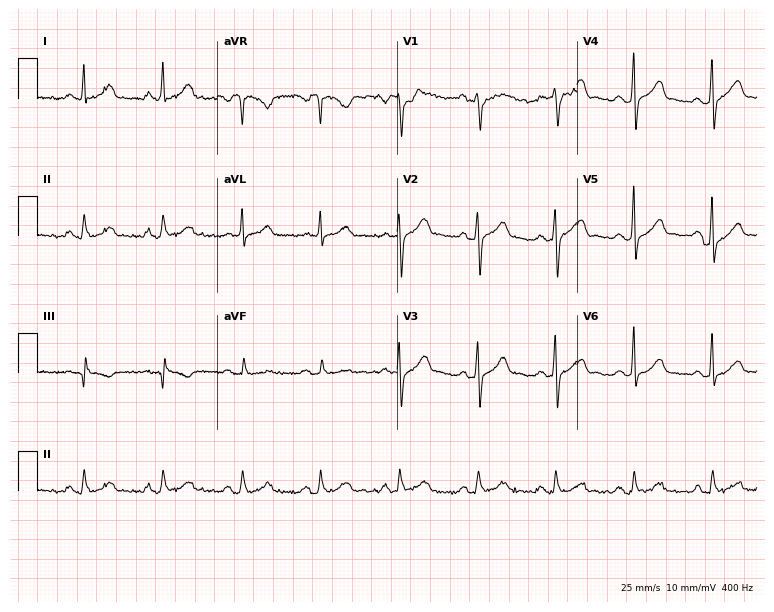
12-lead ECG (7.3-second recording at 400 Hz) from a 36-year-old woman. Labelled as a normal ECG.